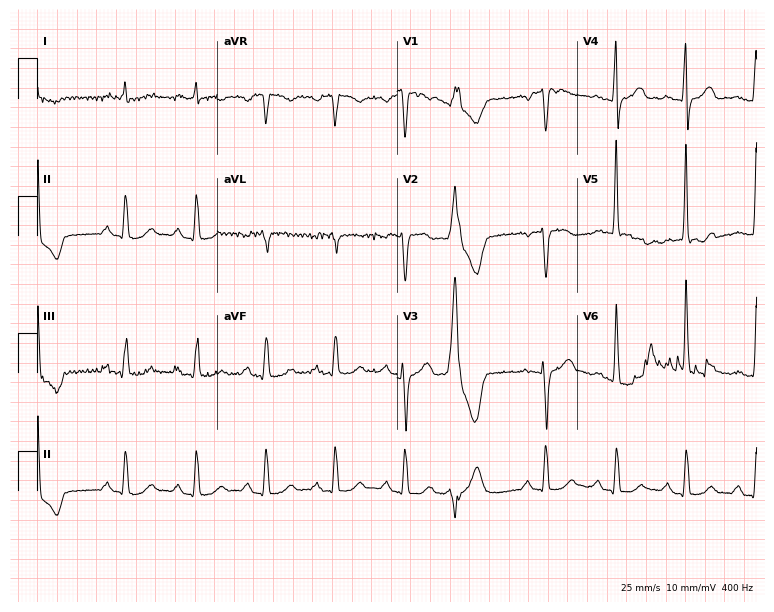
Resting 12-lead electrocardiogram. Patient: a 79-year-old male. None of these six findings is recorded: first-degree AV block, right bundle branch block, left bundle branch block, sinus bradycardia, atrial fibrillation, sinus tachycardia.